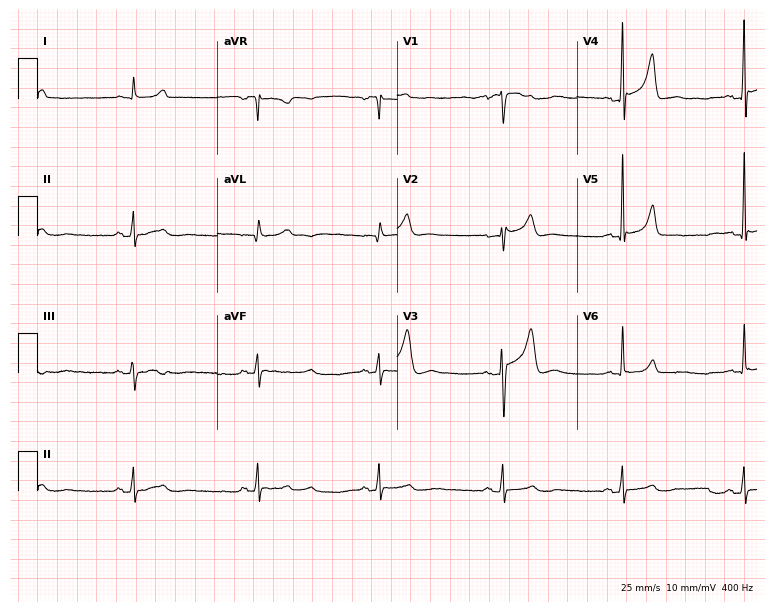
12-lead ECG from a 51-year-old male. Findings include sinus bradycardia (a sinus rate of 50 beats per minute or less).